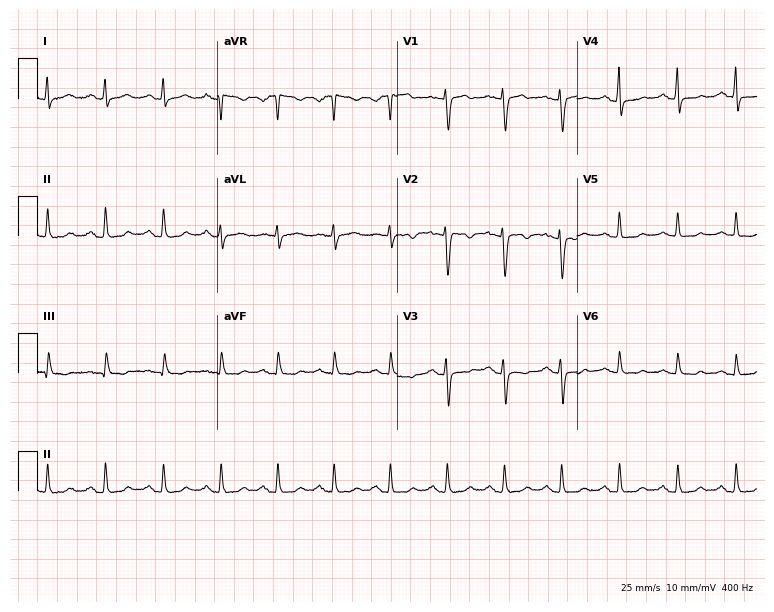
12-lead ECG from a 42-year-old female. Screened for six findings — first-degree AV block, right bundle branch block, left bundle branch block, sinus bradycardia, atrial fibrillation, sinus tachycardia — none is recorded.